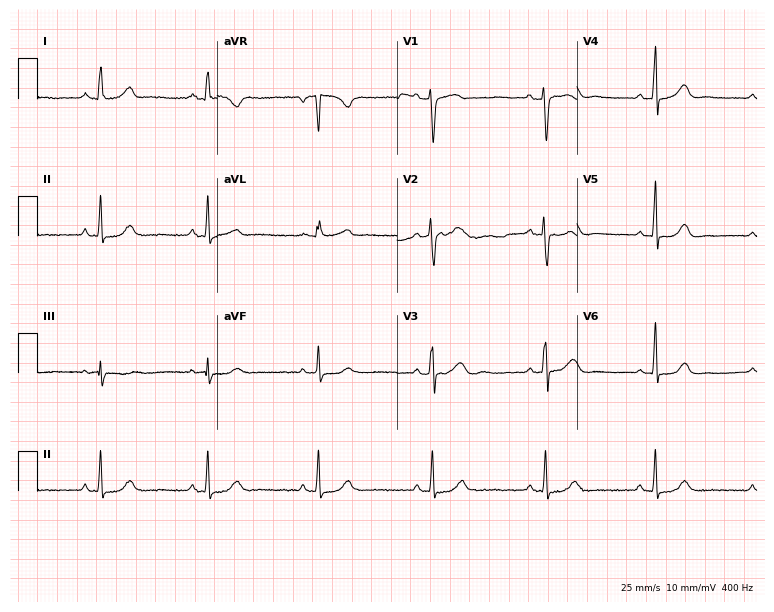
12-lead ECG from a woman, 45 years old. Recorded interpretation: within normal limits.